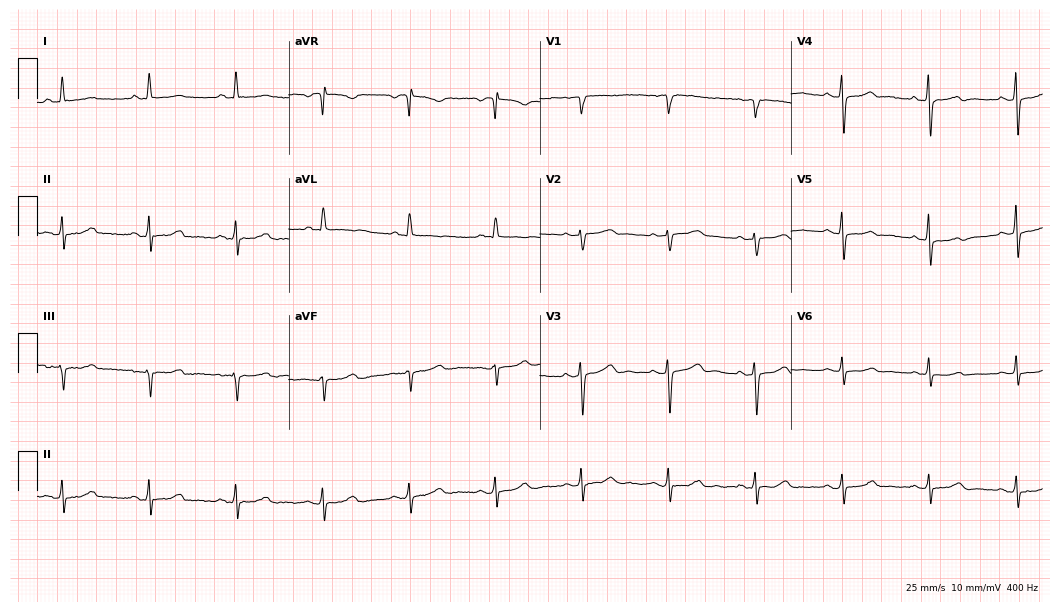
Standard 12-lead ECG recorded from a 61-year-old female patient. Read as a normal ECG.